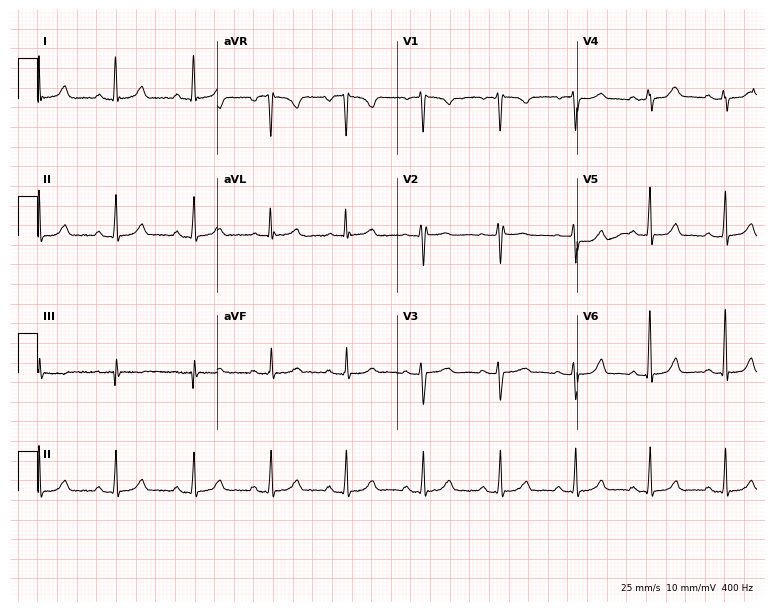
Electrocardiogram, a 40-year-old male patient. Of the six screened findings (first-degree AV block, right bundle branch block (RBBB), left bundle branch block (LBBB), sinus bradycardia, atrial fibrillation (AF), sinus tachycardia), none is recorded.